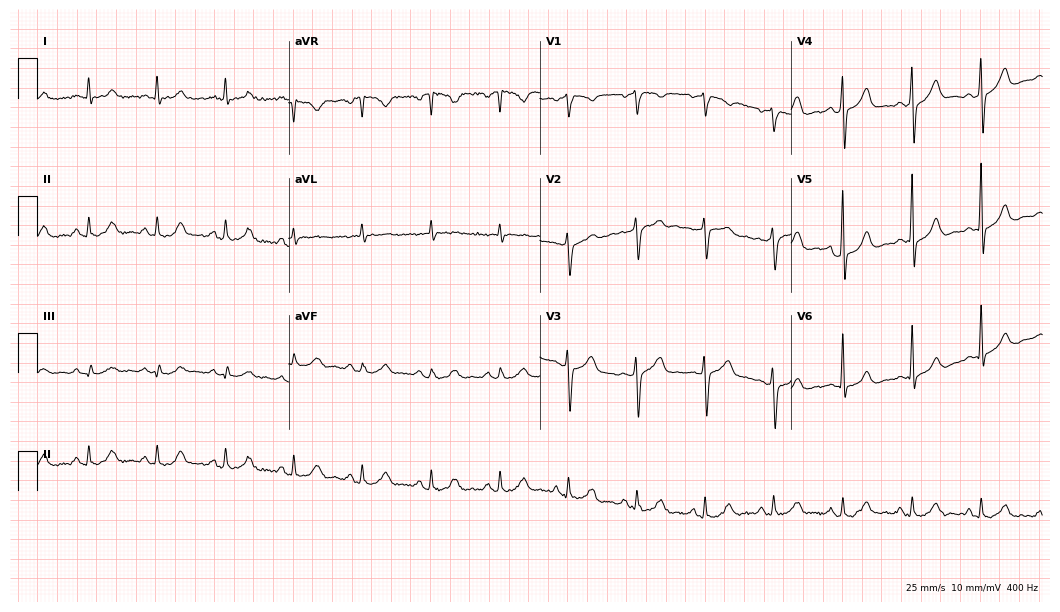
Standard 12-lead ECG recorded from a man, 64 years old. Read as a normal ECG.